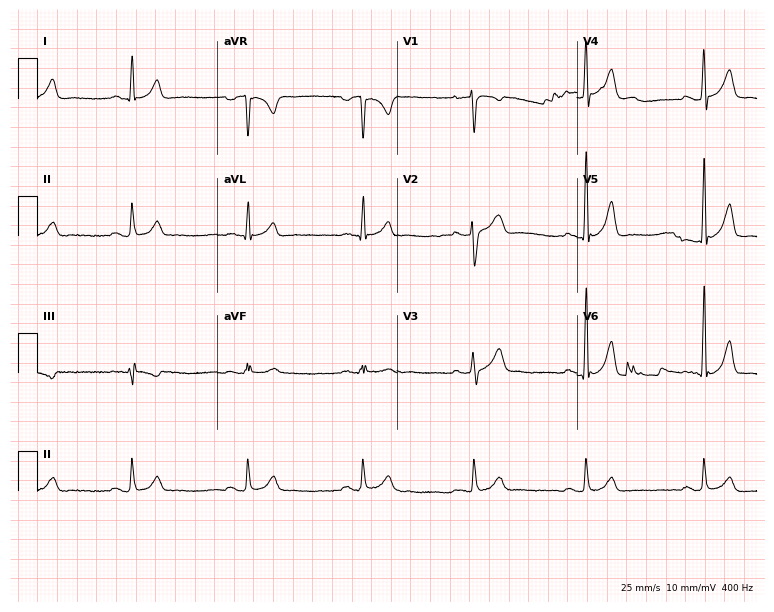
12-lead ECG from a male patient, 45 years old. Recorded interpretation: within normal limits.